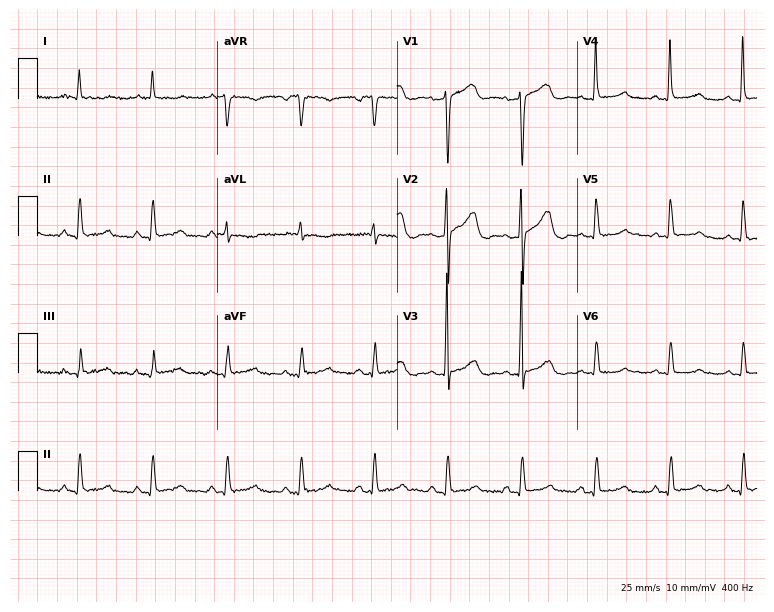
12-lead ECG from an 85-year-old female (7.3-second recording at 400 Hz). No first-degree AV block, right bundle branch block (RBBB), left bundle branch block (LBBB), sinus bradycardia, atrial fibrillation (AF) or sinus tachycardia recorded for this tracing.